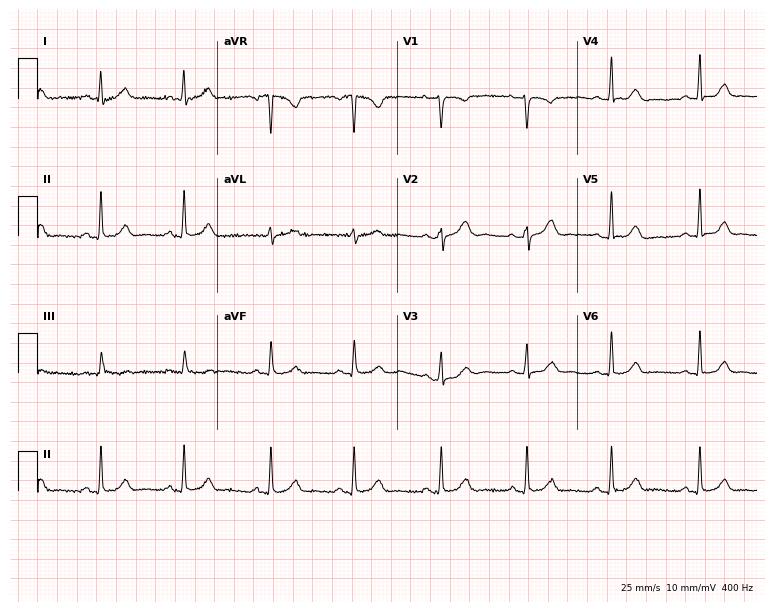
12-lead ECG (7.3-second recording at 400 Hz) from a 30-year-old woman. Labelled as a normal ECG.